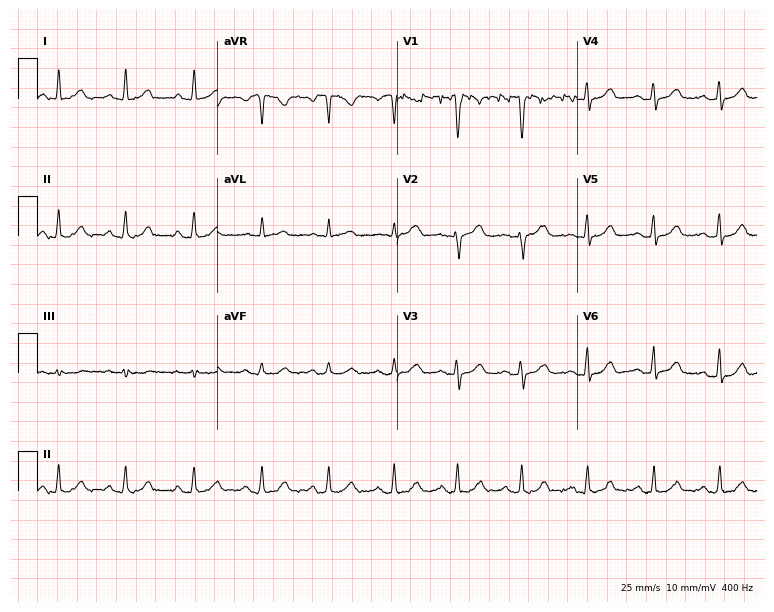
ECG — a female, 43 years old. Screened for six findings — first-degree AV block, right bundle branch block, left bundle branch block, sinus bradycardia, atrial fibrillation, sinus tachycardia — none is recorded. Other findings, if any, are not listed.